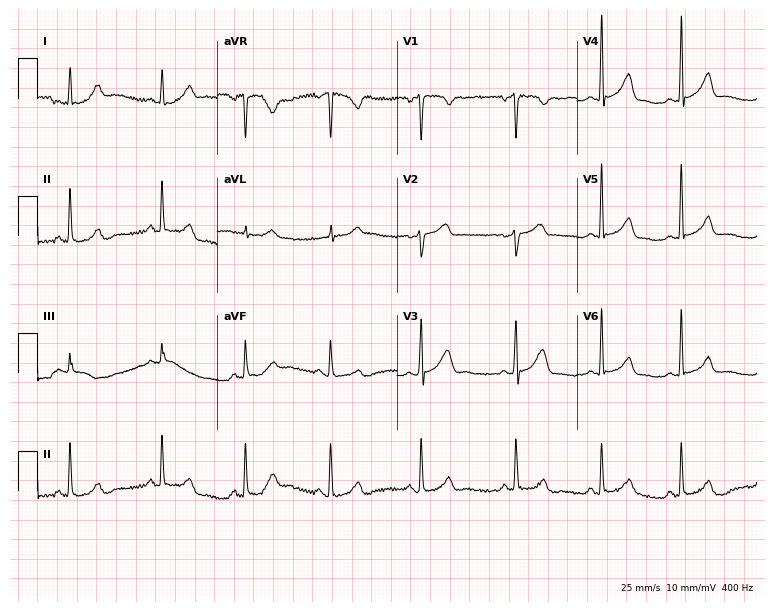
12-lead ECG from a male patient, 35 years old (7.3-second recording at 400 Hz). Recorded interpretation: within normal limits.